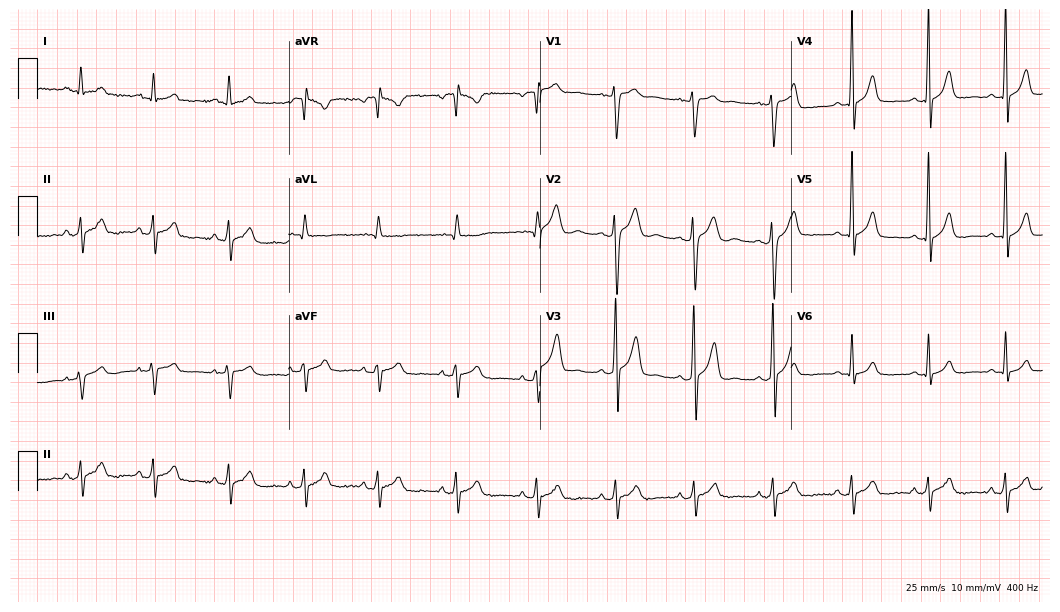
Standard 12-lead ECG recorded from a 17-year-old man (10.2-second recording at 400 Hz). Read as a normal ECG.